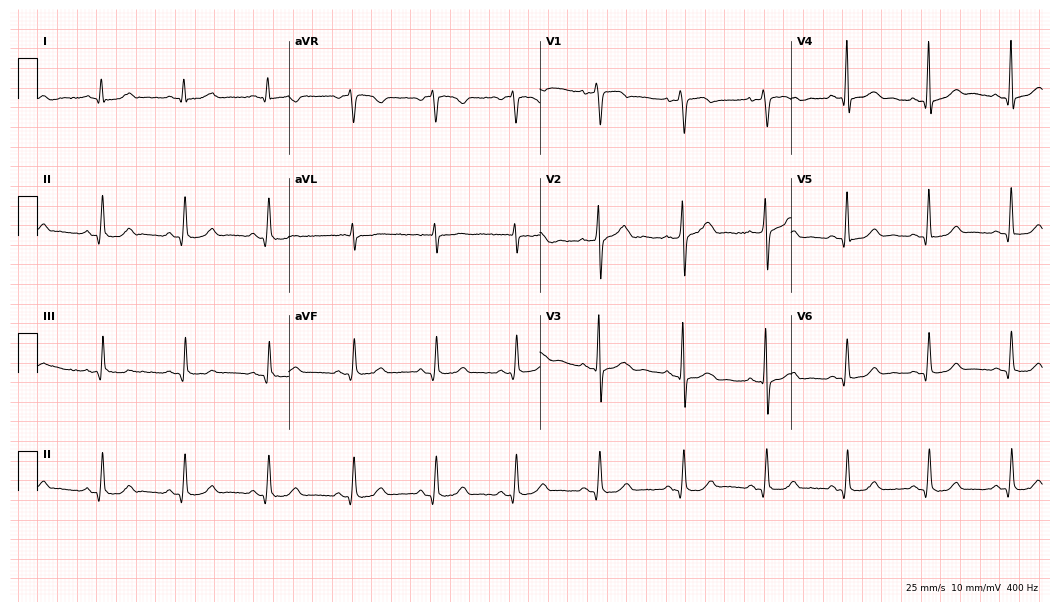
Electrocardiogram (10.2-second recording at 400 Hz), a male patient, 55 years old. Of the six screened findings (first-degree AV block, right bundle branch block, left bundle branch block, sinus bradycardia, atrial fibrillation, sinus tachycardia), none is recorded.